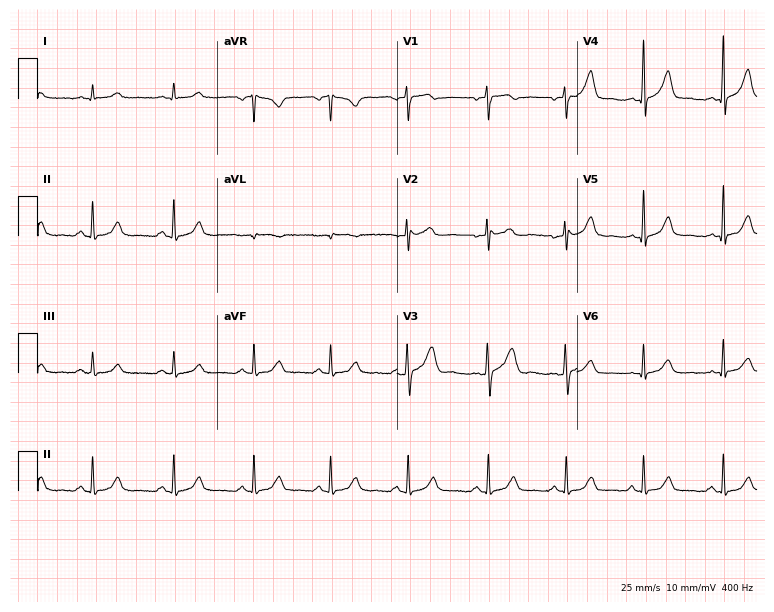
12-lead ECG from a 33-year-old male. Labelled as a normal ECG.